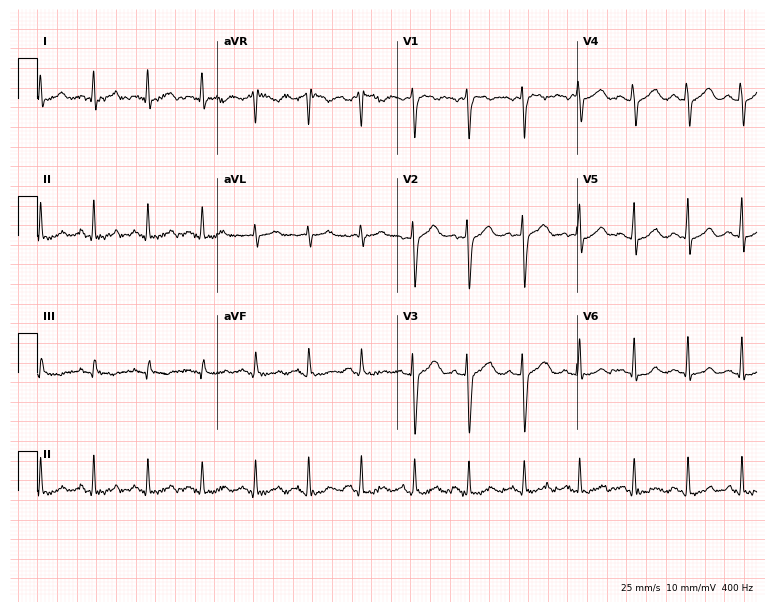
ECG (7.3-second recording at 400 Hz) — a male patient, 34 years old. Screened for six findings — first-degree AV block, right bundle branch block (RBBB), left bundle branch block (LBBB), sinus bradycardia, atrial fibrillation (AF), sinus tachycardia — none is recorded. Only these six findings were labelled.